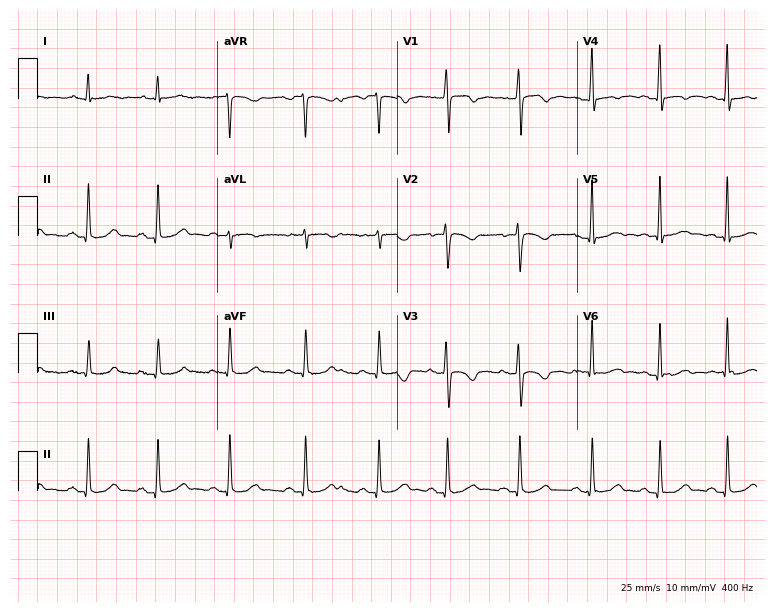
ECG (7.3-second recording at 400 Hz) — a female, 27 years old. Screened for six findings — first-degree AV block, right bundle branch block (RBBB), left bundle branch block (LBBB), sinus bradycardia, atrial fibrillation (AF), sinus tachycardia — none is recorded.